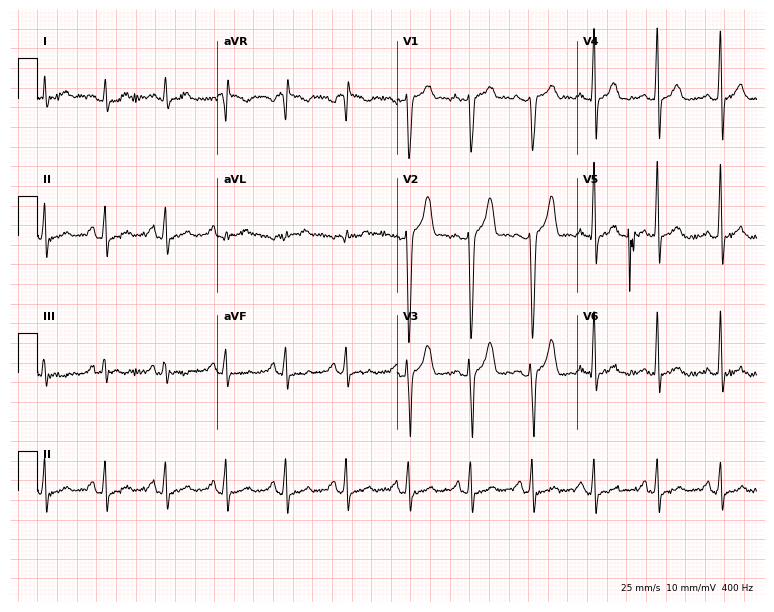
Standard 12-lead ECG recorded from a male, 29 years old (7.3-second recording at 400 Hz). None of these six findings is recorded: first-degree AV block, right bundle branch block, left bundle branch block, sinus bradycardia, atrial fibrillation, sinus tachycardia.